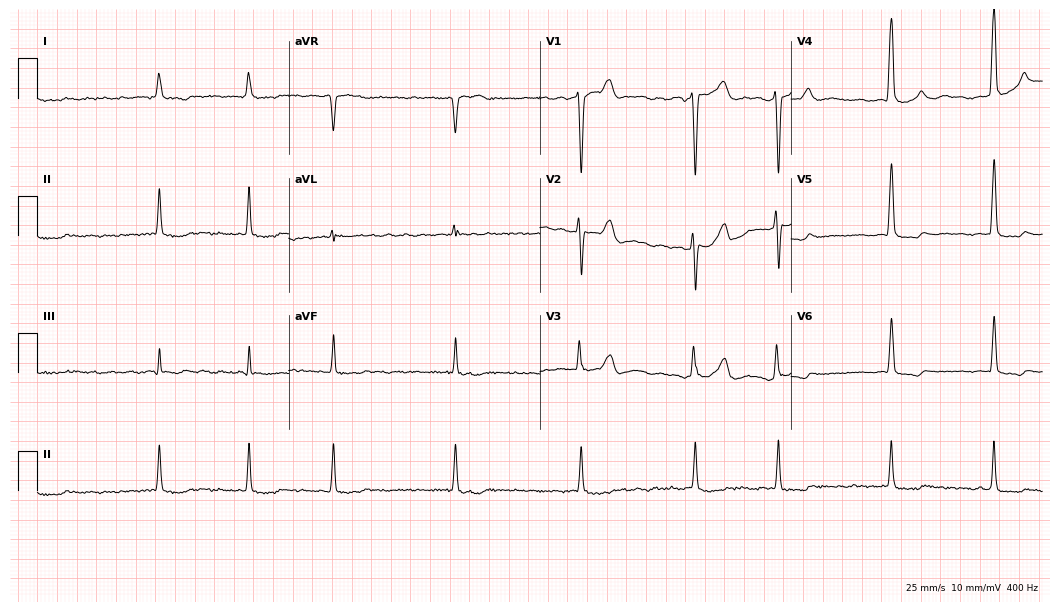
12-lead ECG from a male, 73 years old. Findings include atrial fibrillation.